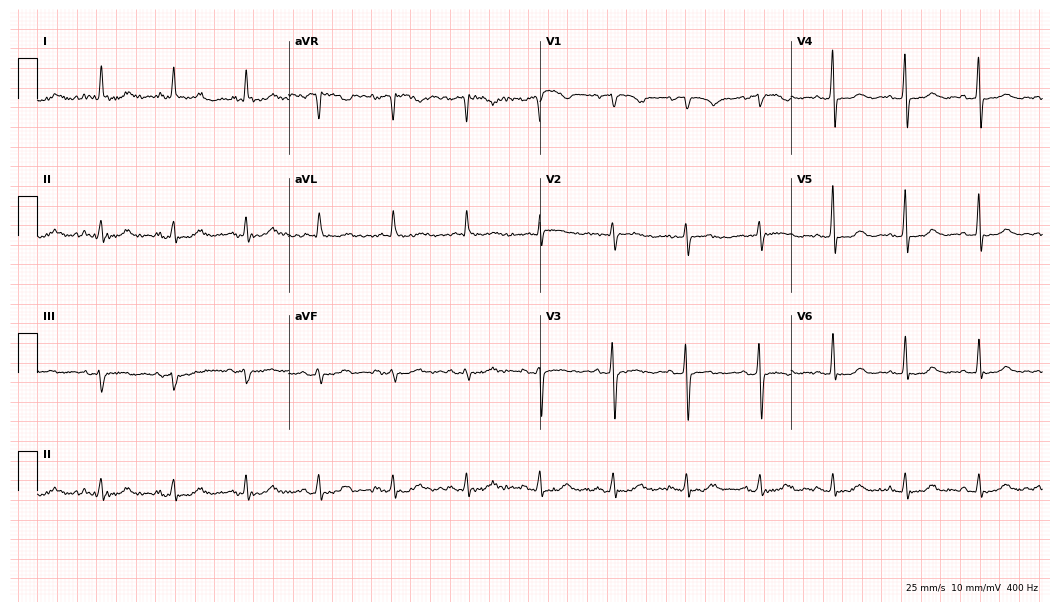
ECG — a 64-year-old woman. Screened for six findings — first-degree AV block, right bundle branch block (RBBB), left bundle branch block (LBBB), sinus bradycardia, atrial fibrillation (AF), sinus tachycardia — none is recorded.